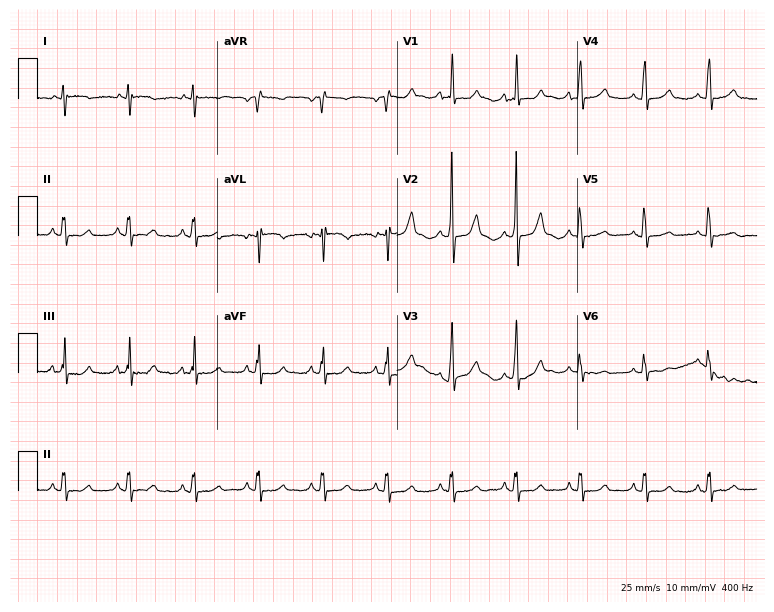
12-lead ECG (7.3-second recording at 400 Hz) from a woman, 77 years old. Labelled as a normal ECG.